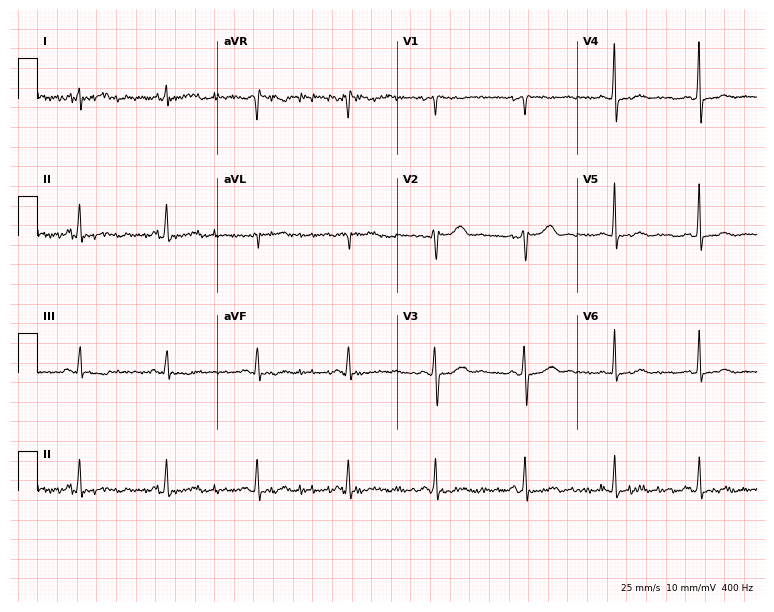
Standard 12-lead ECG recorded from a female, 47 years old (7.3-second recording at 400 Hz). Read as a normal ECG.